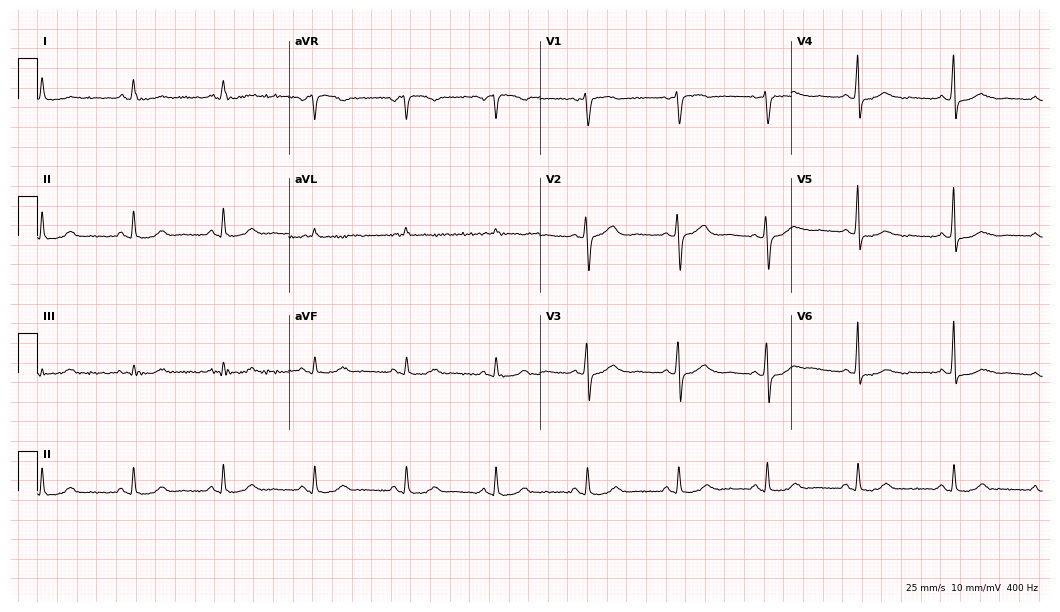
Resting 12-lead electrocardiogram (10.2-second recording at 400 Hz). Patient: a female, 56 years old. Read as a normal ECG.